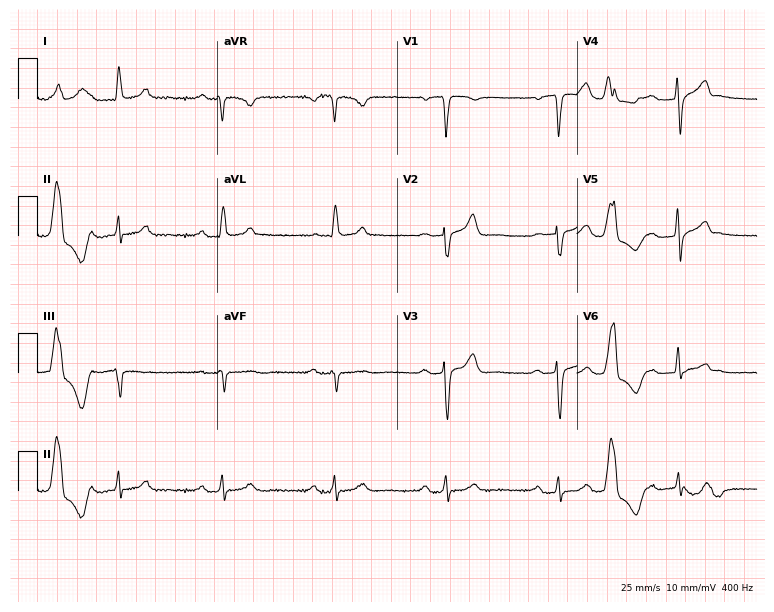
Resting 12-lead electrocardiogram (7.3-second recording at 400 Hz). Patient: a male, 70 years old. None of these six findings is recorded: first-degree AV block, right bundle branch block, left bundle branch block, sinus bradycardia, atrial fibrillation, sinus tachycardia.